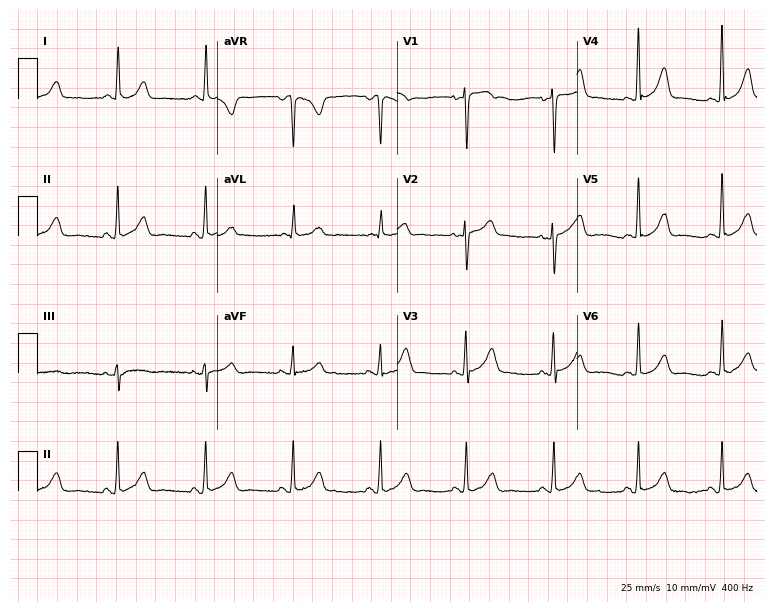
Resting 12-lead electrocardiogram (7.3-second recording at 400 Hz). Patient: a female, 59 years old. Read as a normal ECG.